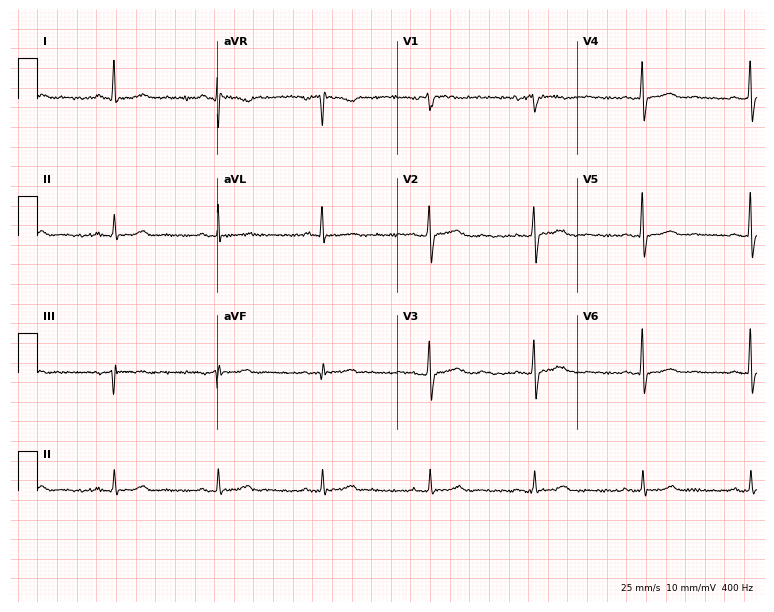
12-lead ECG from a 51-year-old female patient (7.3-second recording at 400 Hz). No first-degree AV block, right bundle branch block, left bundle branch block, sinus bradycardia, atrial fibrillation or sinus tachycardia recorded for this tracing.